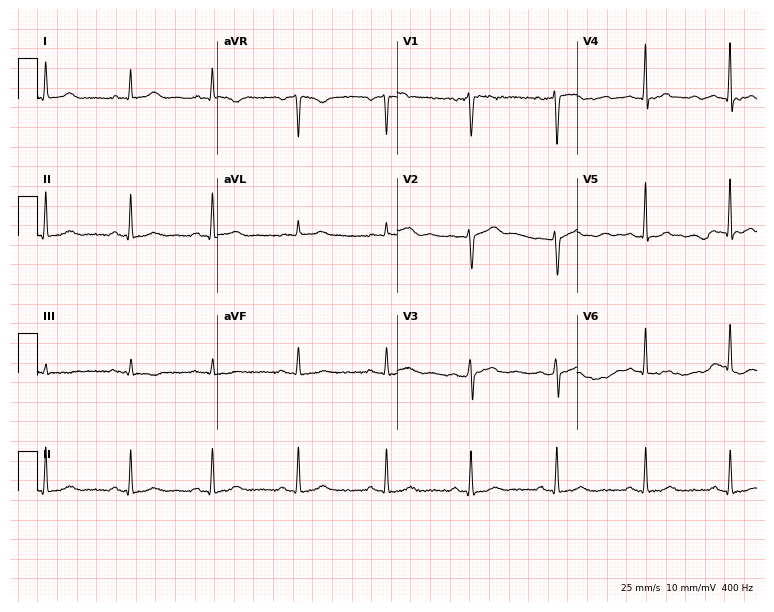
Standard 12-lead ECG recorded from a female, 34 years old (7.3-second recording at 400 Hz). None of these six findings is recorded: first-degree AV block, right bundle branch block, left bundle branch block, sinus bradycardia, atrial fibrillation, sinus tachycardia. Findings outside these six are not listed.